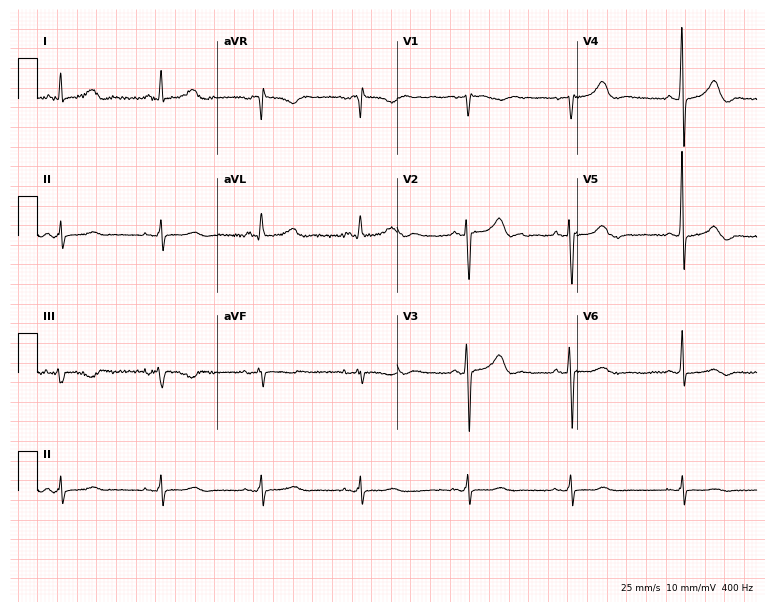
Standard 12-lead ECG recorded from a 53-year-old female patient. Read as a normal ECG.